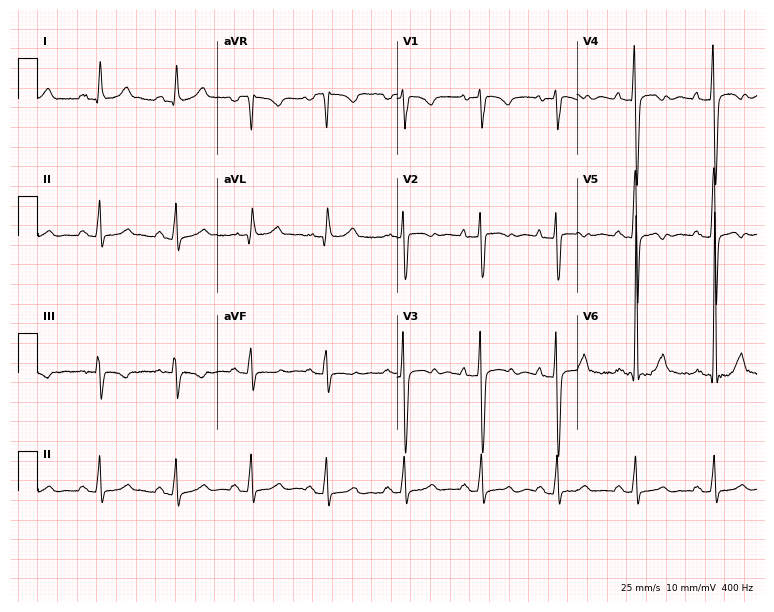
12-lead ECG from a 26-year-old male (7.3-second recording at 400 Hz). Recorded interpretation: within normal limits.